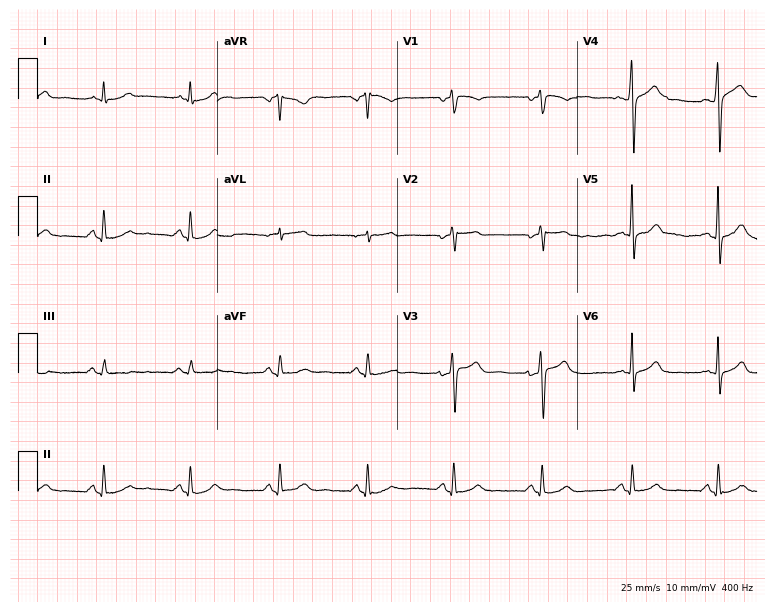
ECG (7.3-second recording at 400 Hz) — a 74-year-old male patient. Labelled as a normal ECG.